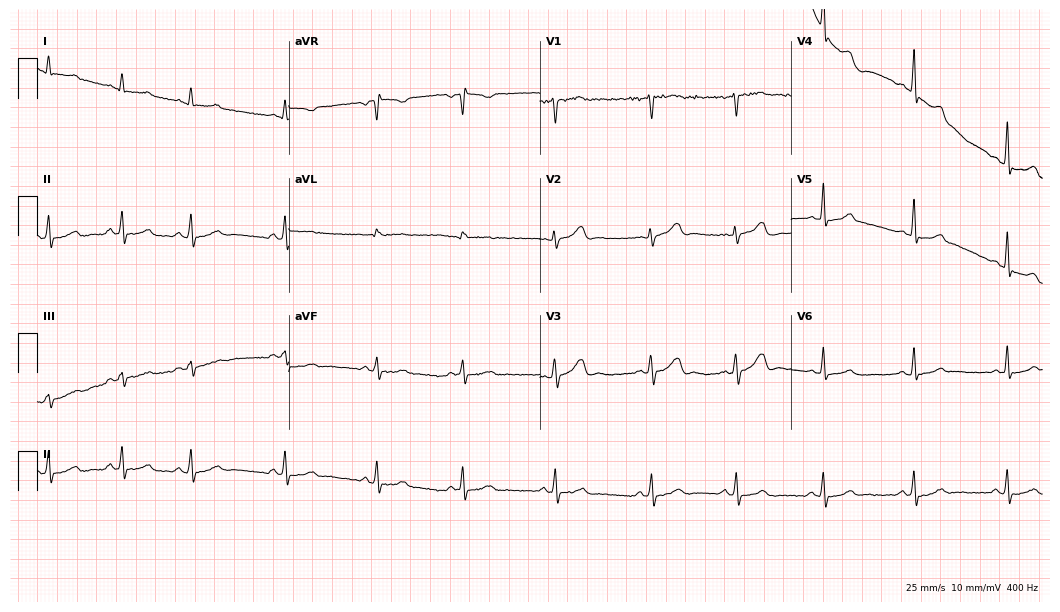
Electrocardiogram, a 24-year-old woman. Of the six screened findings (first-degree AV block, right bundle branch block, left bundle branch block, sinus bradycardia, atrial fibrillation, sinus tachycardia), none is recorded. Only these six findings were labelled.